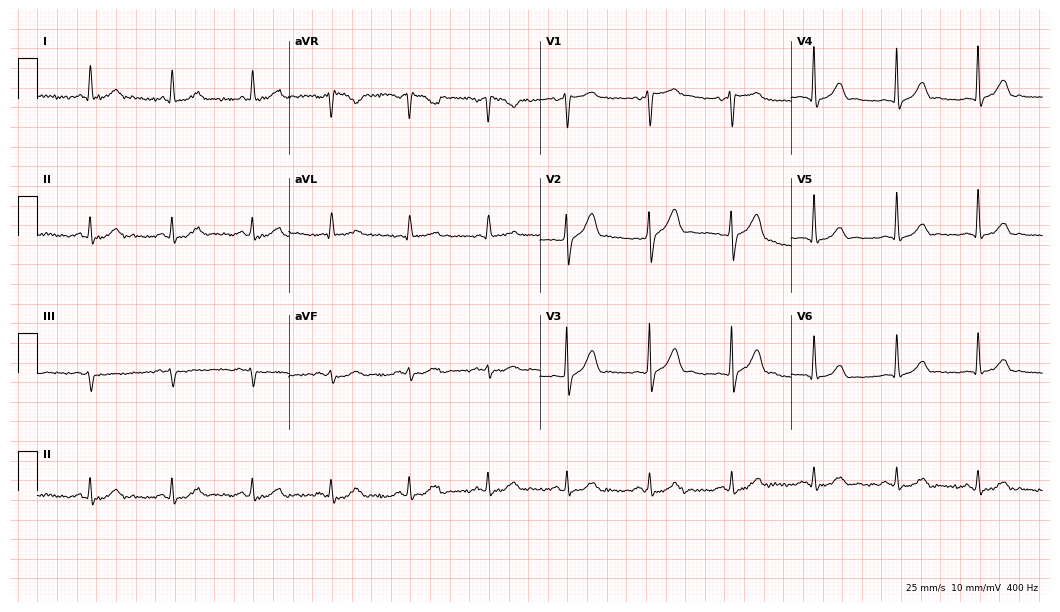
12-lead ECG from a man, 62 years old (10.2-second recording at 400 Hz). Recorded interpretation: within normal limits.